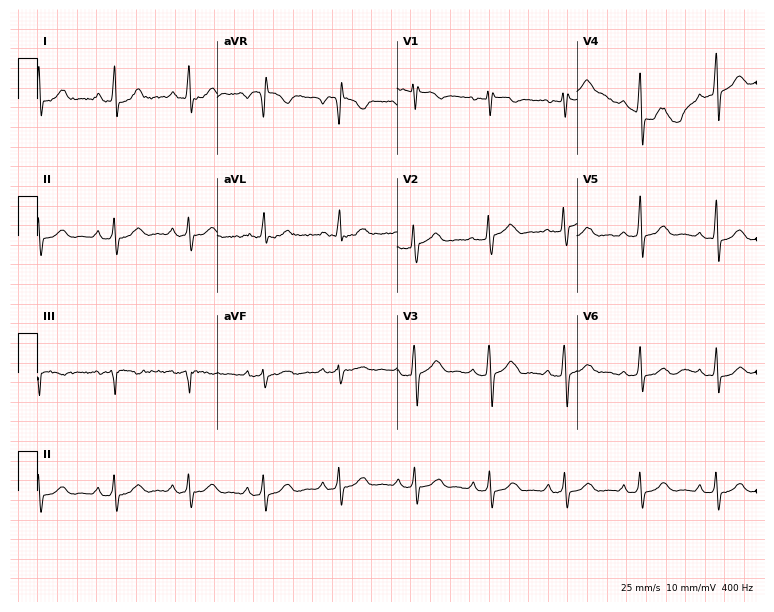
Resting 12-lead electrocardiogram. Patient: a 48-year-old male. None of these six findings is recorded: first-degree AV block, right bundle branch block (RBBB), left bundle branch block (LBBB), sinus bradycardia, atrial fibrillation (AF), sinus tachycardia.